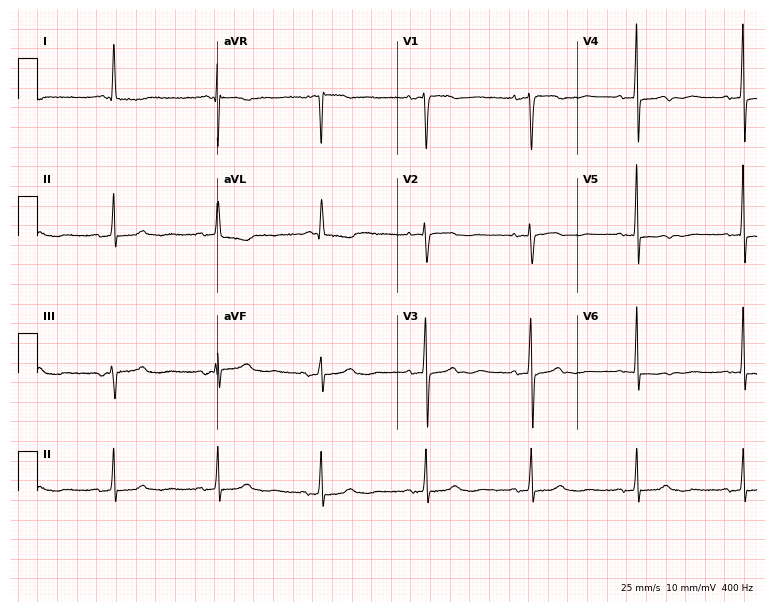
12-lead ECG from an 85-year-old female patient (7.3-second recording at 400 Hz). No first-degree AV block, right bundle branch block (RBBB), left bundle branch block (LBBB), sinus bradycardia, atrial fibrillation (AF) or sinus tachycardia recorded for this tracing. Other findings, if any, are not listed.